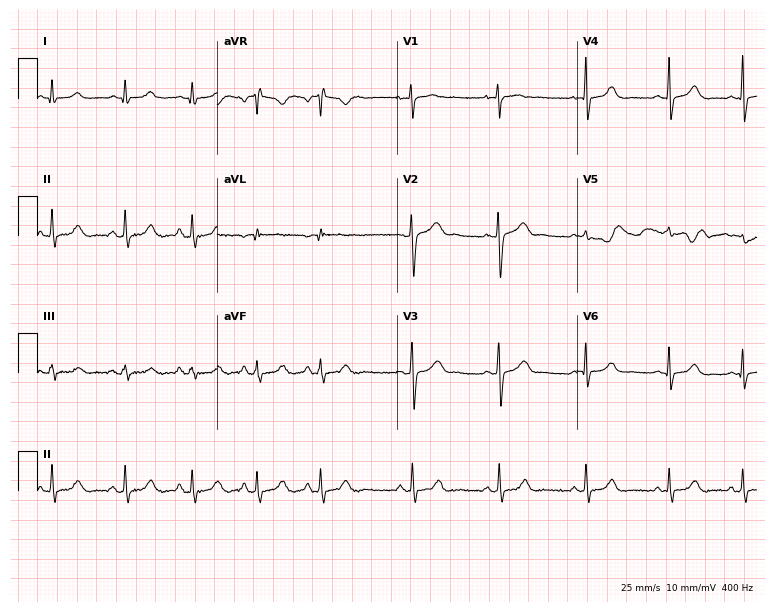
12-lead ECG (7.3-second recording at 400 Hz) from an 18-year-old female patient. Labelled as a normal ECG.